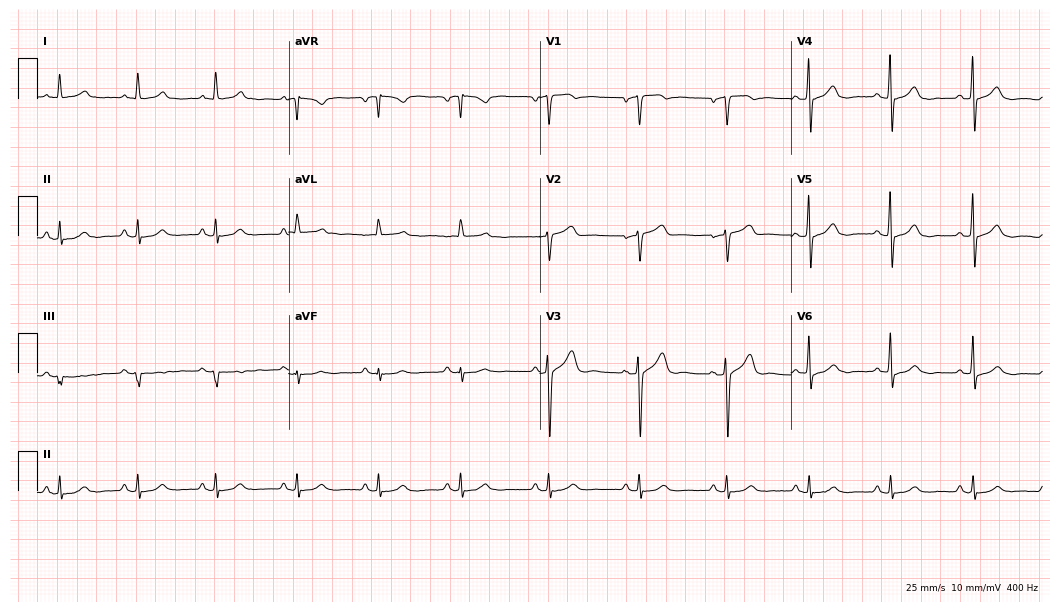
Standard 12-lead ECG recorded from a 64-year-old male patient. Read as a normal ECG.